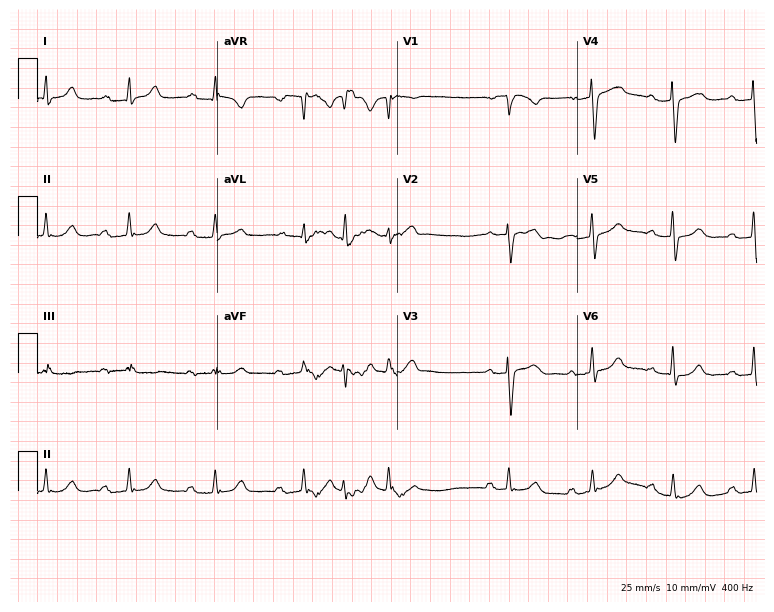
Standard 12-lead ECG recorded from a 49-year-old female (7.3-second recording at 400 Hz). None of these six findings is recorded: first-degree AV block, right bundle branch block (RBBB), left bundle branch block (LBBB), sinus bradycardia, atrial fibrillation (AF), sinus tachycardia. Only these six findings were labelled.